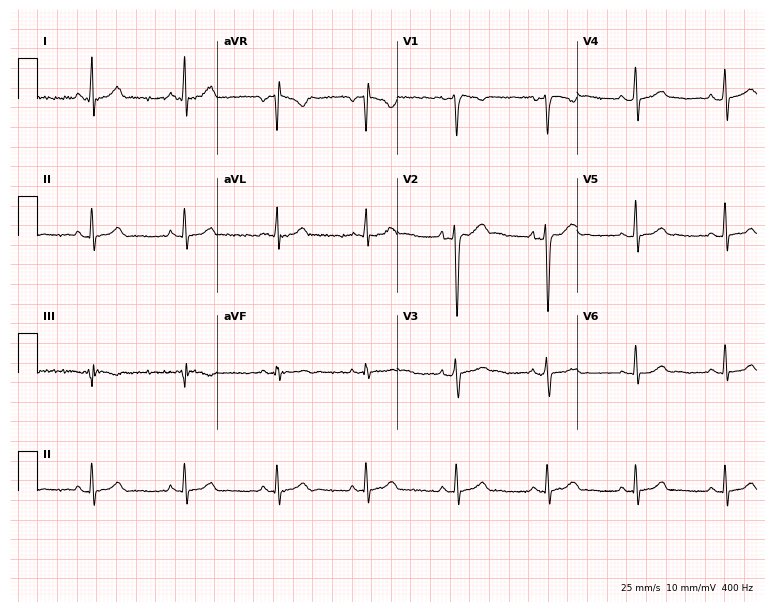
Electrocardiogram, a 28-year-old man. Overall reading on record: normal ECG.